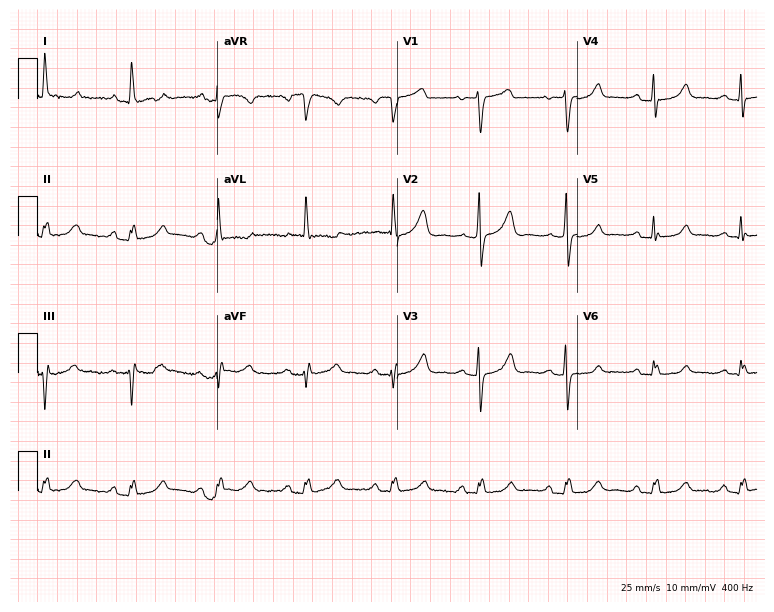
ECG (7.3-second recording at 400 Hz) — a 77-year-old female patient. Screened for six findings — first-degree AV block, right bundle branch block, left bundle branch block, sinus bradycardia, atrial fibrillation, sinus tachycardia — none is recorded. Only these six findings were labelled.